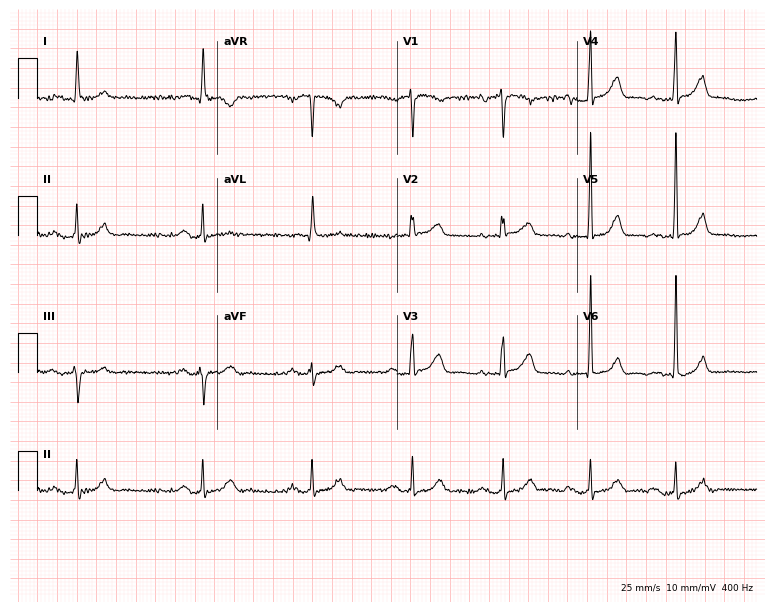
Resting 12-lead electrocardiogram. Patient: a female, 71 years old. None of these six findings is recorded: first-degree AV block, right bundle branch block, left bundle branch block, sinus bradycardia, atrial fibrillation, sinus tachycardia.